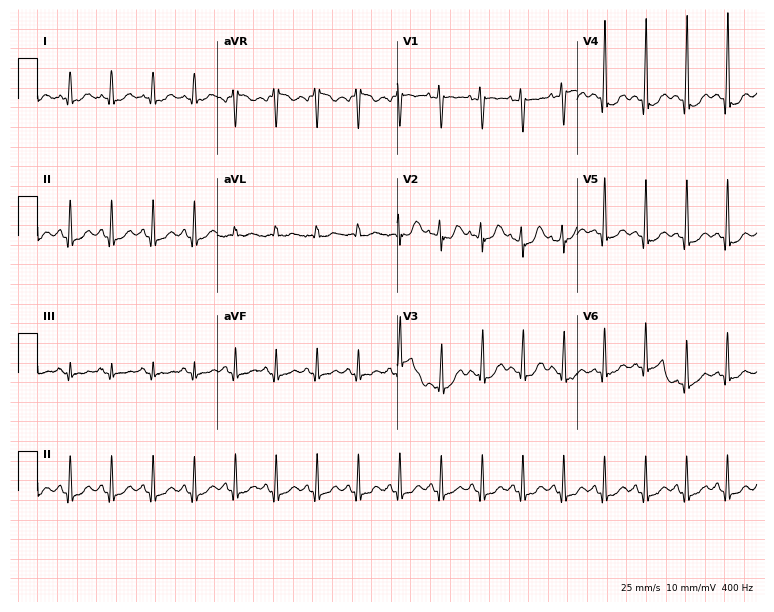
Standard 12-lead ECG recorded from a woman, 26 years old (7.3-second recording at 400 Hz). The tracing shows sinus tachycardia (a sinus rate of 100 beats per minute or more).